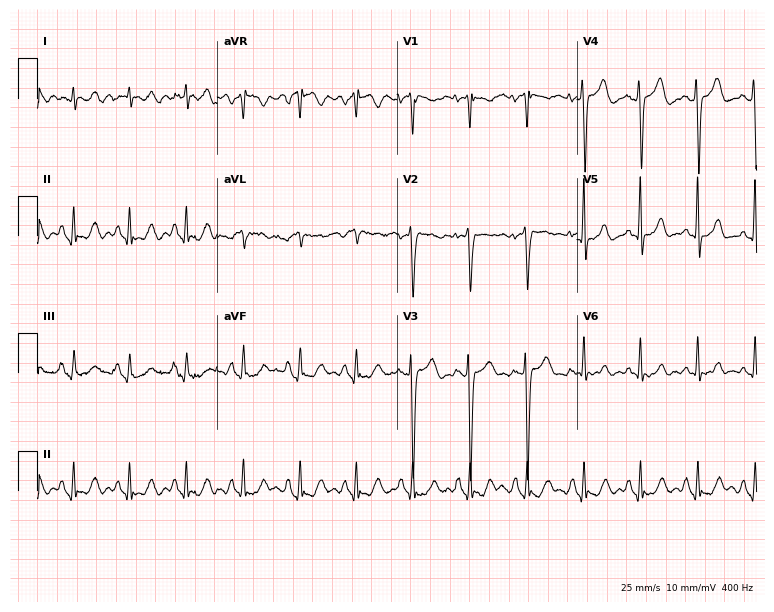
ECG (7.3-second recording at 400 Hz) — a 66-year-old male. Screened for six findings — first-degree AV block, right bundle branch block (RBBB), left bundle branch block (LBBB), sinus bradycardia, atrial fibrillation (AF), sinus tachycardia — none is recorded. Only these six findings were labelled.